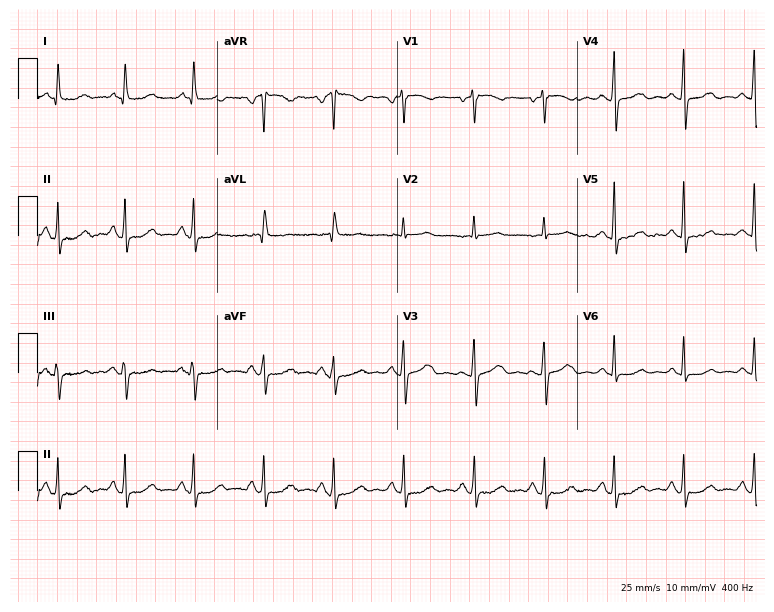
12-lead ECG from a female patient, 58 years old. No first-degree AV block, right bundle branch block (RBBB), left bundle branch block (LBBB), sinus bradycardia, atrial fibrillation (AF) or sinus tachycardia recorded for this tracing. Other findings, if any, are not listed.